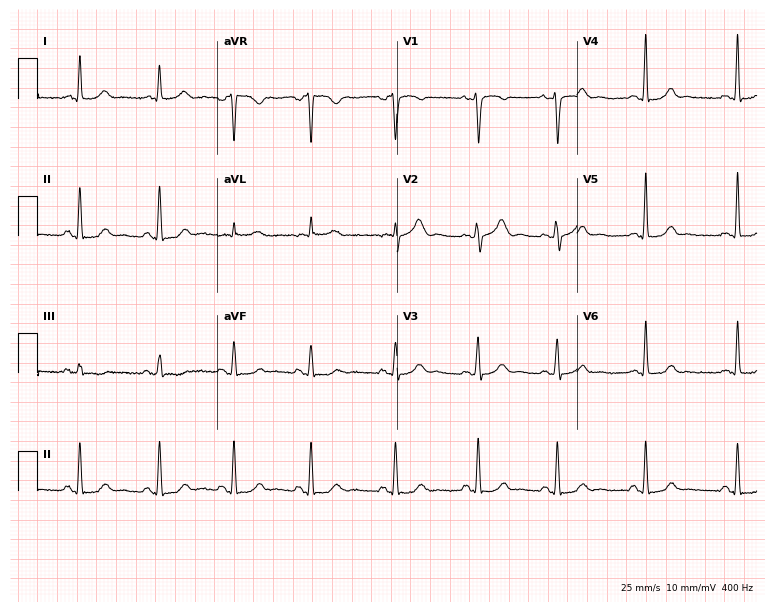
ECG — a 49-year-old woman. Screened for six findings — first-degree AV block, right bundle branch block, left bundle branch block, sinus bradycardia, atrial fibrillation, sinus tachycardia — none is recorded. Other findings, if any, are not listed.